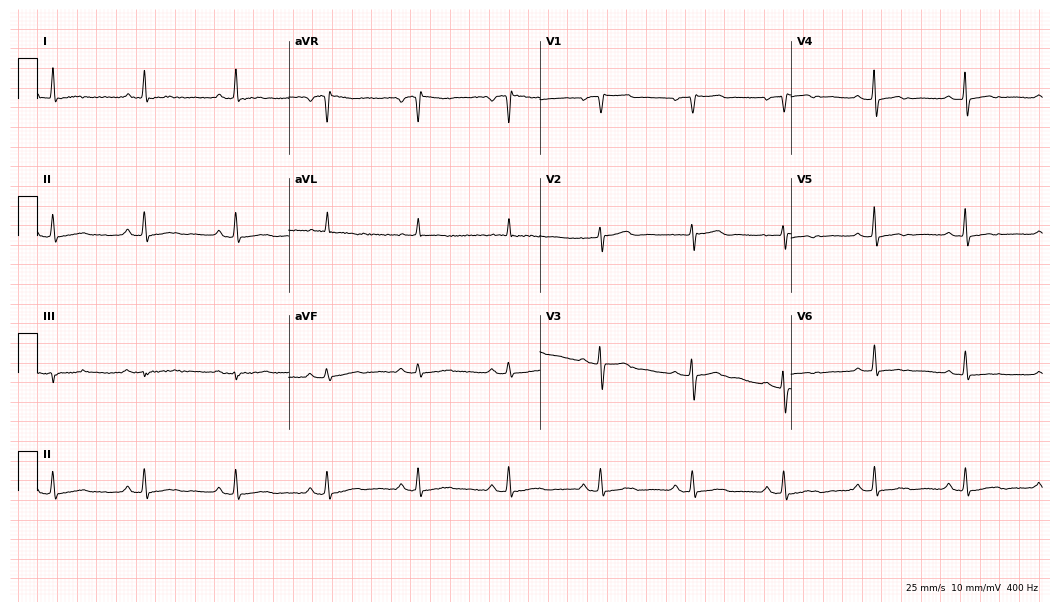
ECG — a female patient, 75 years old. Labelled as a normal ECG.